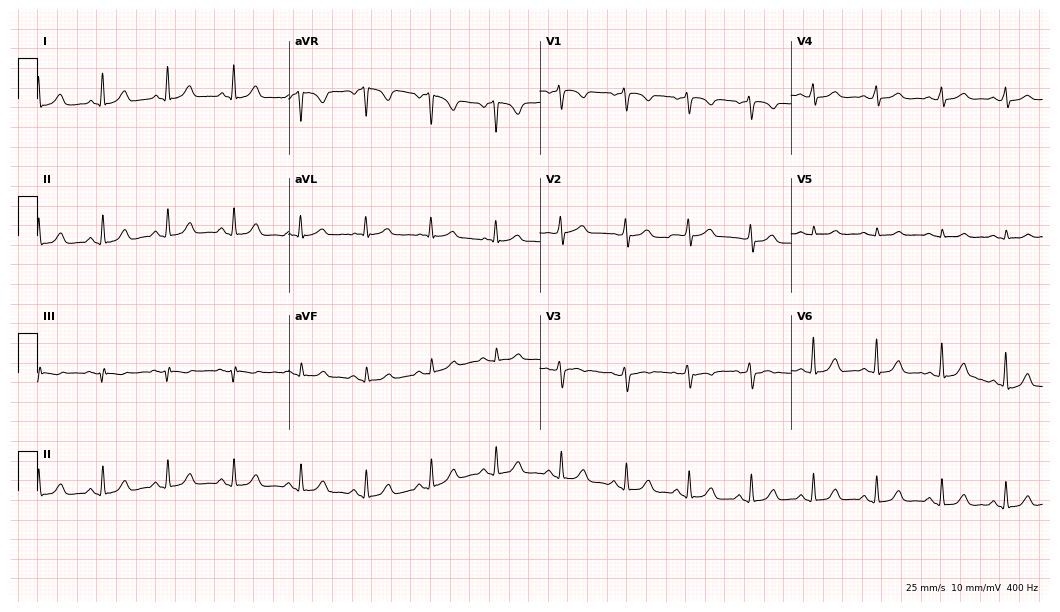
Electrocardiogram (10.2-second recording at 400 Hz), a 49-year-old woman. Overall reading on record: normal ECG.